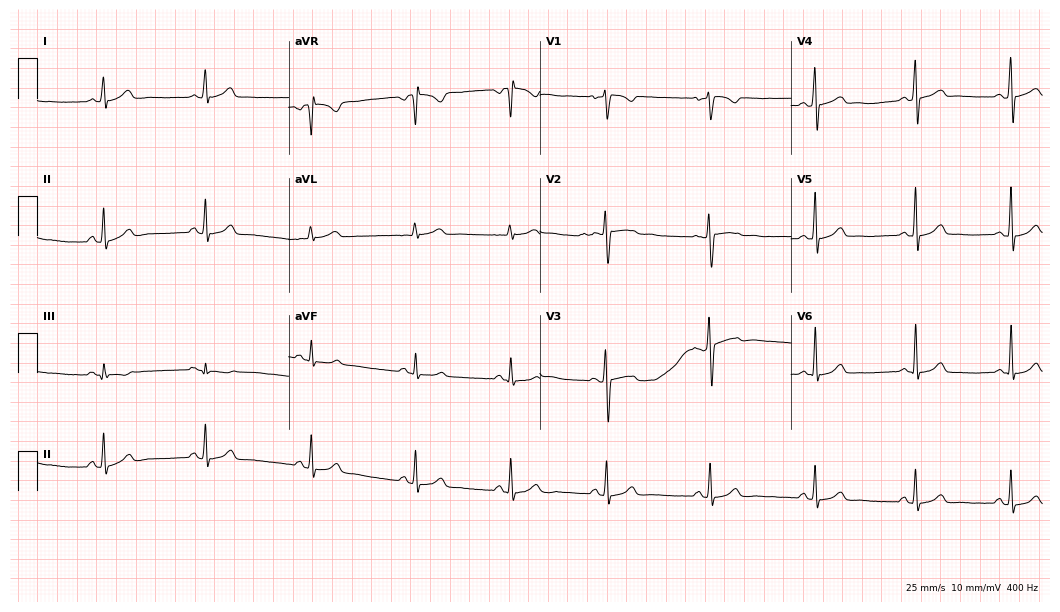
Resting 12-lead electrocardiogram. Patient: a female, 21 years old. Read as a normal ECG.